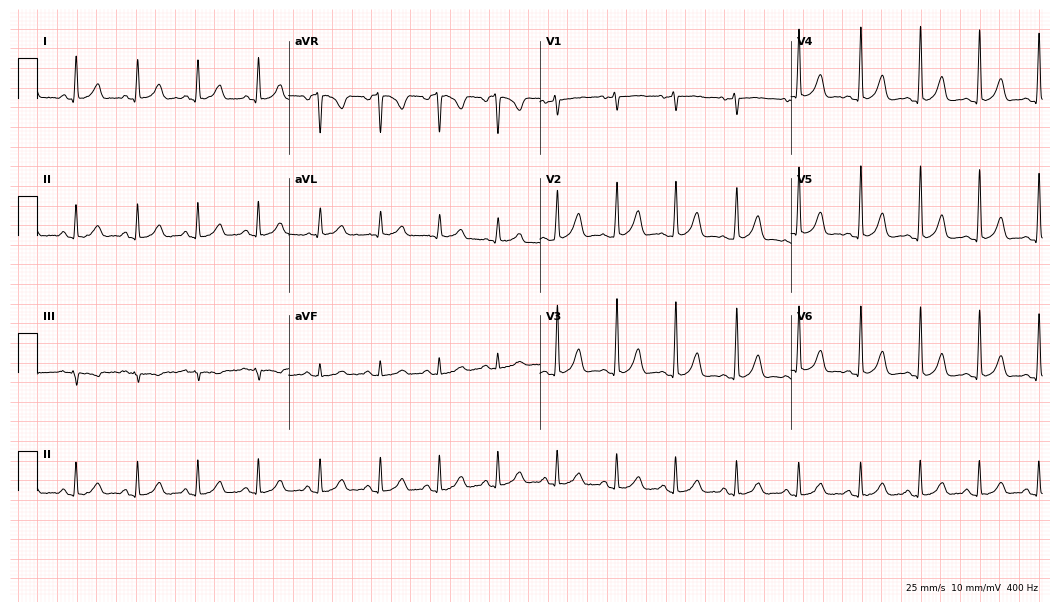
12-lead ECG from a woman, 32 years old. No first-degree AV block, right bundle branch block (RBBB), left bundle branch block (LBBB), sinus bradycardia, atrial fibrillation (AF) or sinus tachycardia recorded for this tracing. Findings outside these six are not listed.